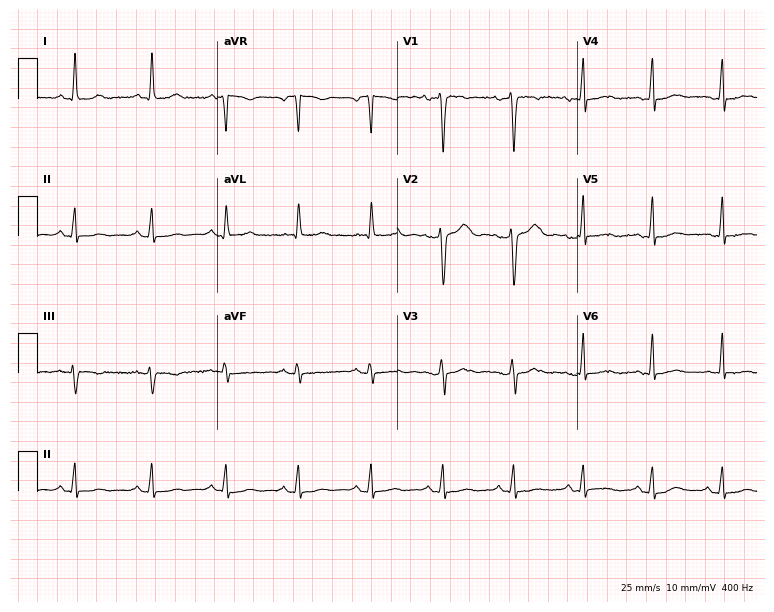
ECG — a 44-year-old female patient. Screened for six findings — first-degree AV block, right bundle branch block (RBBB), left bundle branch block (LBBB), sinus bradycardia, atrial fibrillation (AF), sinus tachycardia — none is recorded. Only these six findings were labelled.